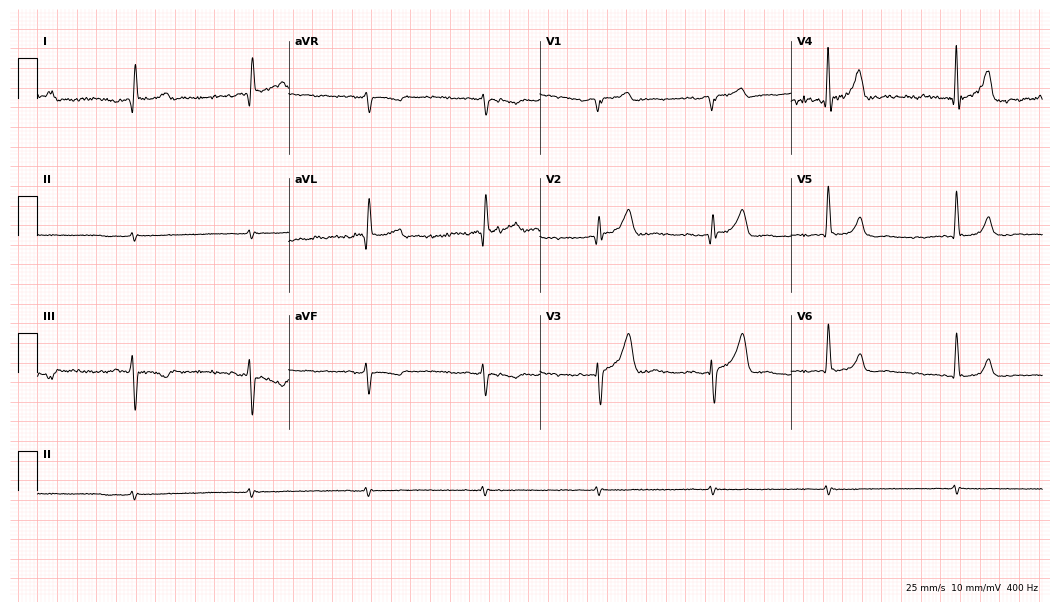
Electrocardiogram, a male, 83 years old. Of the six screened findings (first-degree AV block, right bundle branch block, left bundle branch block, sinus bradycardia, atrial fibrillation, sinus tachycardia), none is recorded.